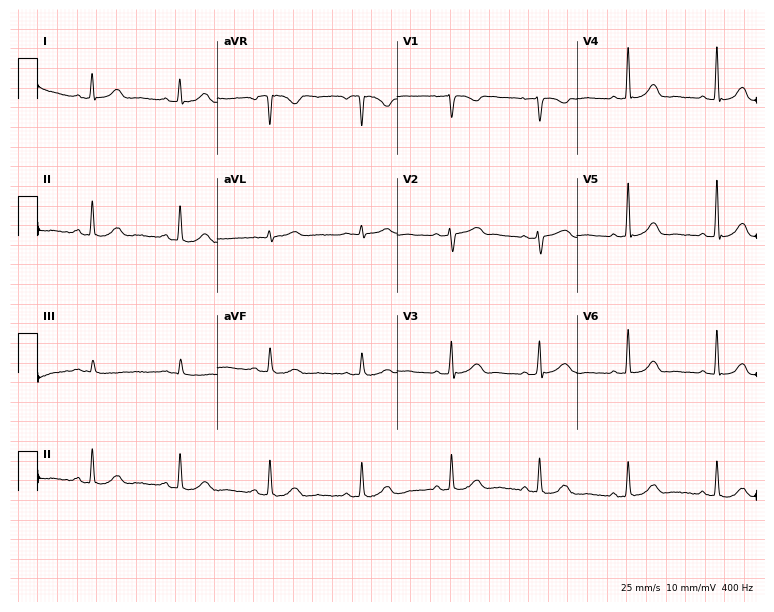
ECG — a 44-year-old woman. Screened for six findings — first-degree AV block, right bundle branch block (RBBB), left bundle branch block (LBBB), sinus bradycardia, atrial fibrillation (AF), sinus tachycardia — none is recorded.